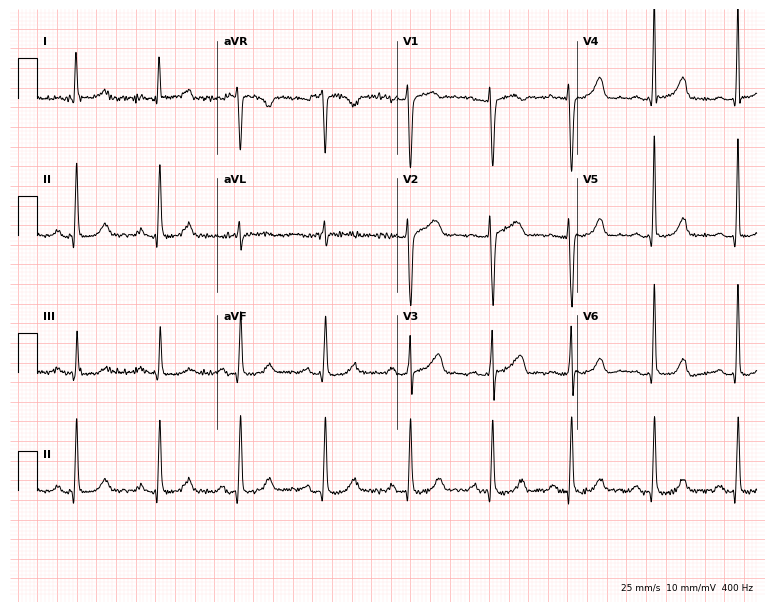
12-lead ECG (7.3-second recording at 400 Hz) from a 41-year-old female. Labelled as a normal ECG.